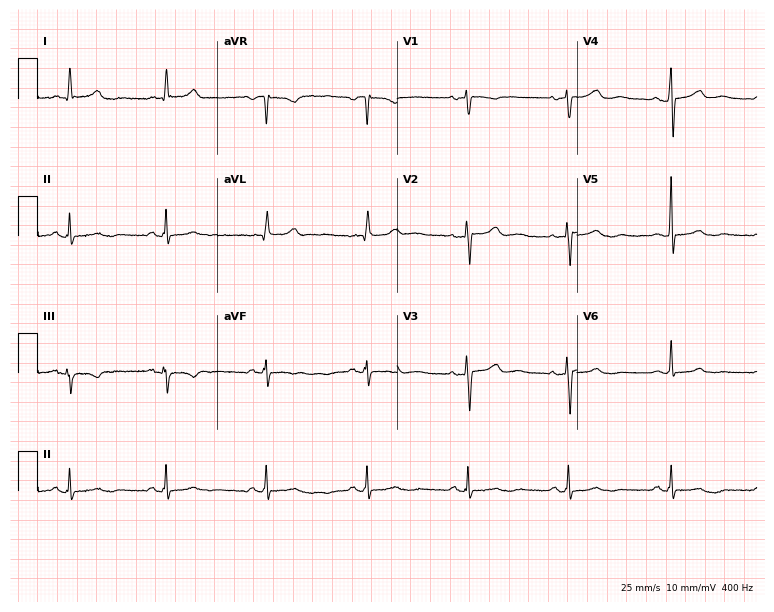
12-lead ECG (7.3-second recording at 400 Hz) from a female patient, 65 years old. Labelled as a normal ECG.